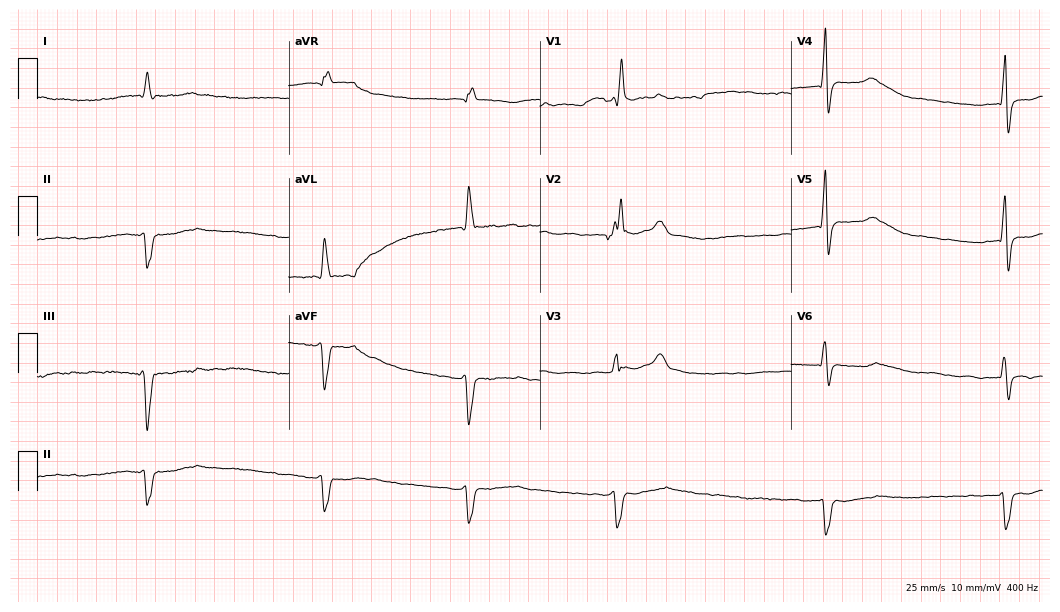
12-lead ECG from a male, 71 years old (10.2-second recording at 400 Hz). Shows right bundle branch block, atrial fibrillation.